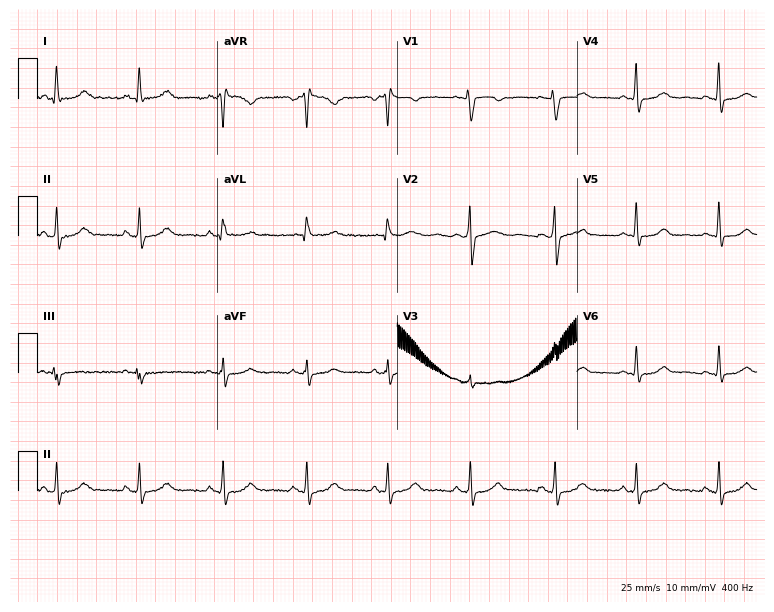
ECG — a woman, 50 years old. Screened for six findings — first-degree AV block, right bundle branch block (RBBB), left bundle branch block (LBBB), sinus bradycardia, atrial fibrillation (AF), sinus tachycardia — none is recorded.